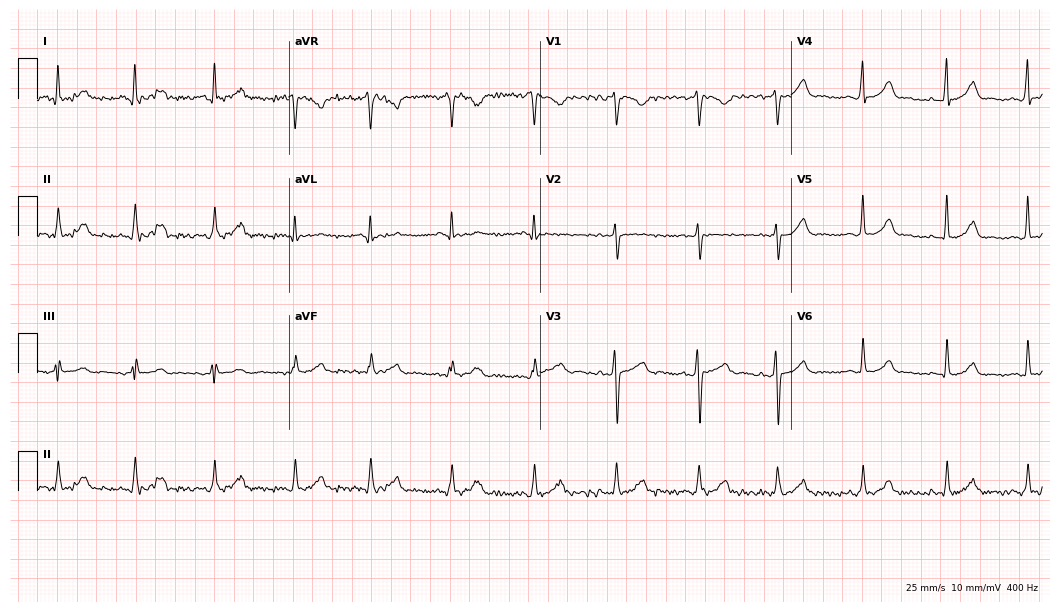
12-lead ECG from a 23-year-old female. No first-degree AV block, right bundle branch block, left bundle branch block, sinus bradycardia, atrial fibrillation or sinus tachycardia recorded for this tracing.